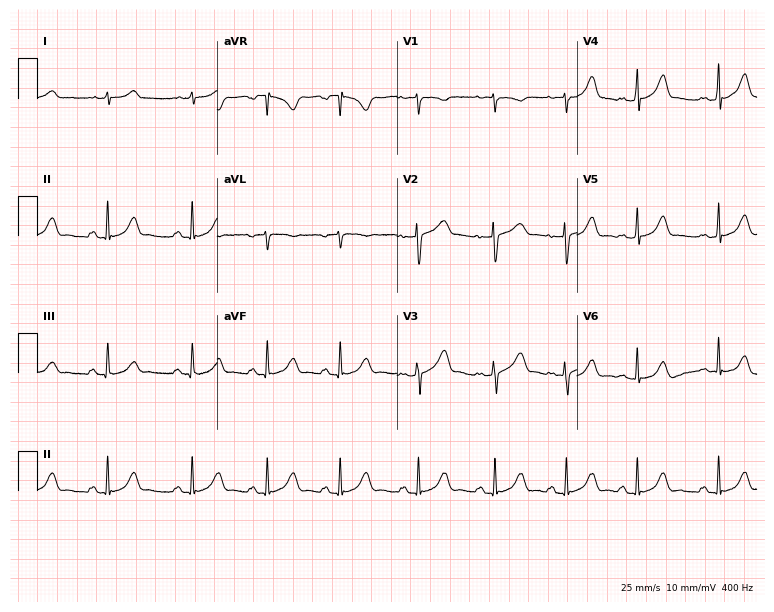
Standard 12-lead ECG recorded from a 19-year-old woman. Read as a normal ECG.